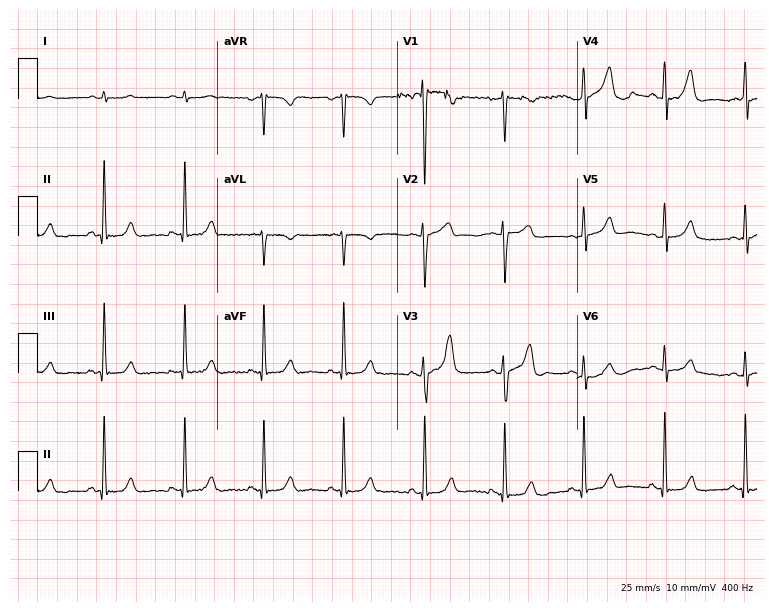
Standard 12-lead ECG recorded from a male patient, 53 years old. Read as a normal ECG.